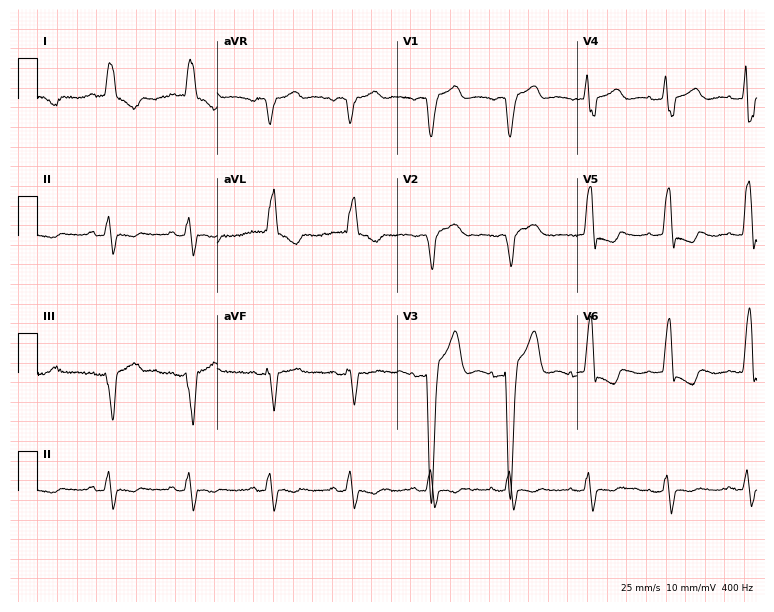
12-lead ECG (7.3-second recording at 400 Hz) from a female patient, 84 years old. Findings include left bundle branch block (LBBB).